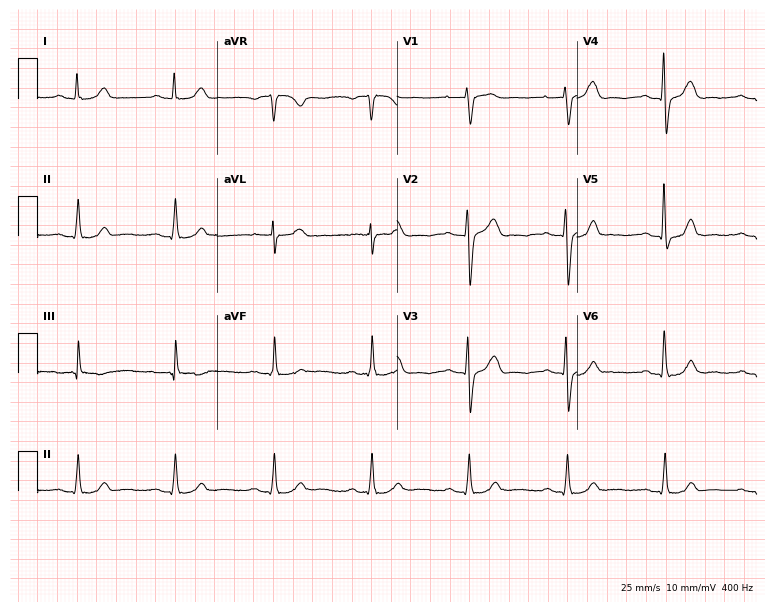
12-lead ECG from a man, 60 years old (7.3-second recording at 400 Hz). No first-degree AV block, right bundle branch block, left bundle branch block, sinus bradycardia, atrial fibrillation or sinus tachycardia recorded for this tracing. Only these six findings were labelled.